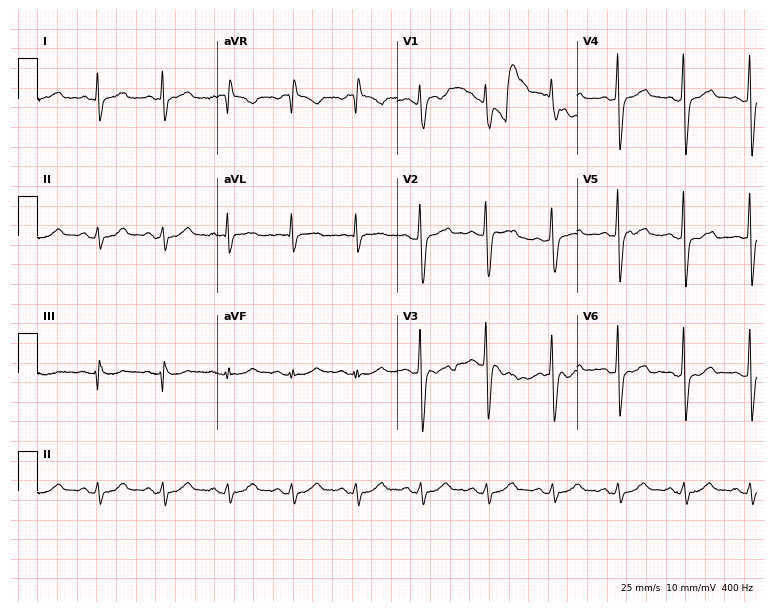
12-lead ECG from a 41-year-old man (7.3-second recording at 400 Hz). Recorded interpretation: within normal limits.